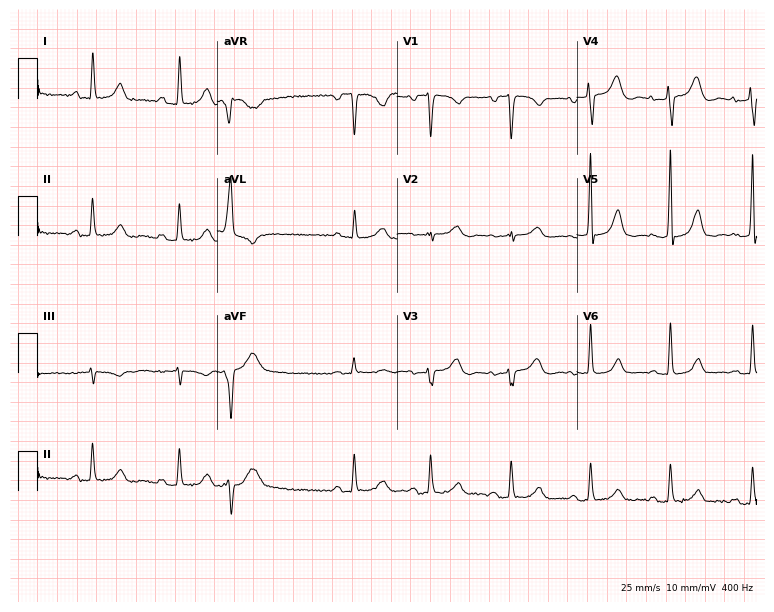
Standard 12-lead ECG recorded from a woman, 48 years old (7.3-second recording at 400 Hz). None of these six findings is recorded: first-degree AV block, right bundle branch block, left bundle branch block, sinus bradycardia, atrial fibrillation, sinus tachycardia.